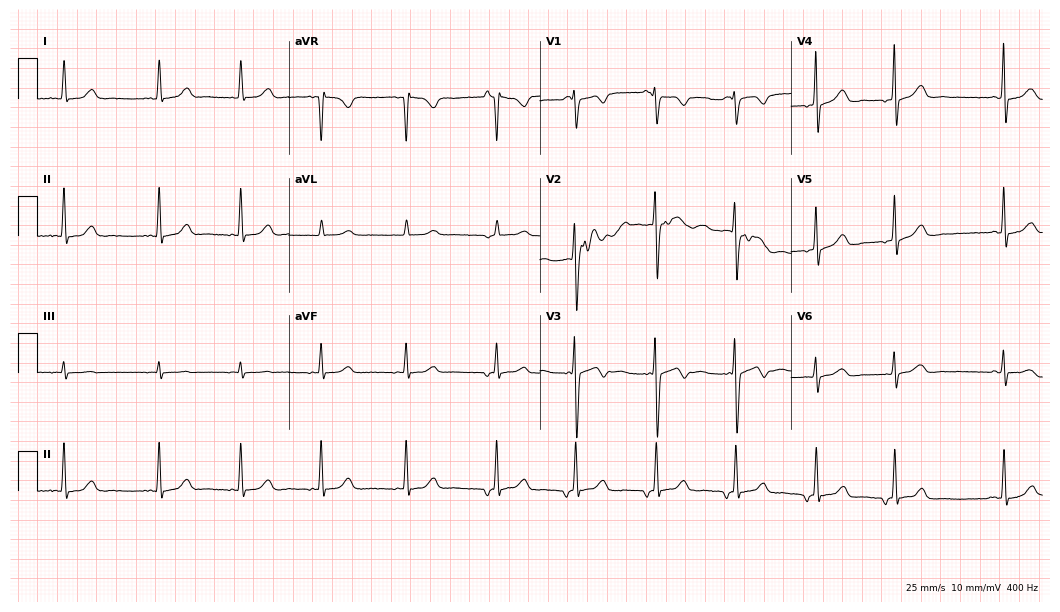
Resting 12-lead electrocardiogram. Patient: a woman, 28 years old. None of these six findings is recorded: first-degree AV block, right bundle branch block, left bundle branch block, sinus bradycardia, atrial fibrillation, sinus tachycardia. Other findings, if any, are not listed.